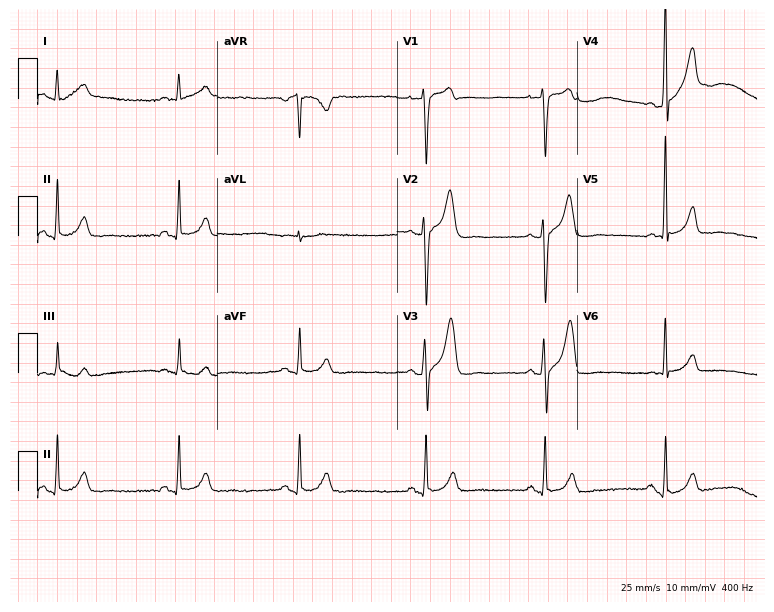
Electrocardiogram, a male patient, 55 years old. Interpretation includes sinus bradycardia (a sinus rate of 50 beats per minute or less).